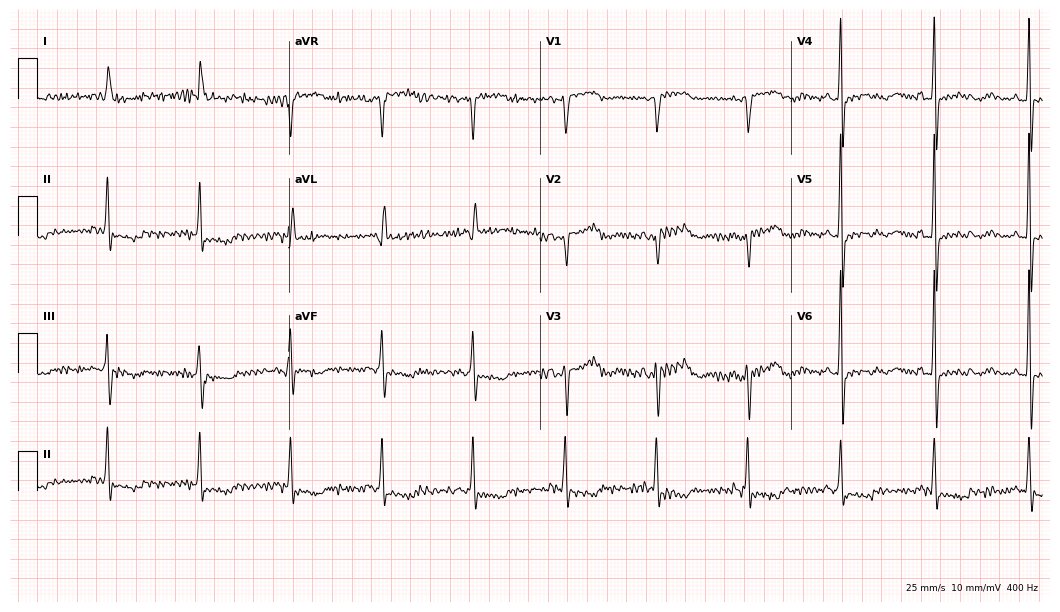
12-lead ECG from a woman, 71 years old. No first-degree AV block, right bundle branch block (RBBB), left bundle branch block (LBBB), sinus bradycardia, atrial fibrillation (AF) or sinus tachycardia recorded for this tracing. Findings outside these six are not listed.